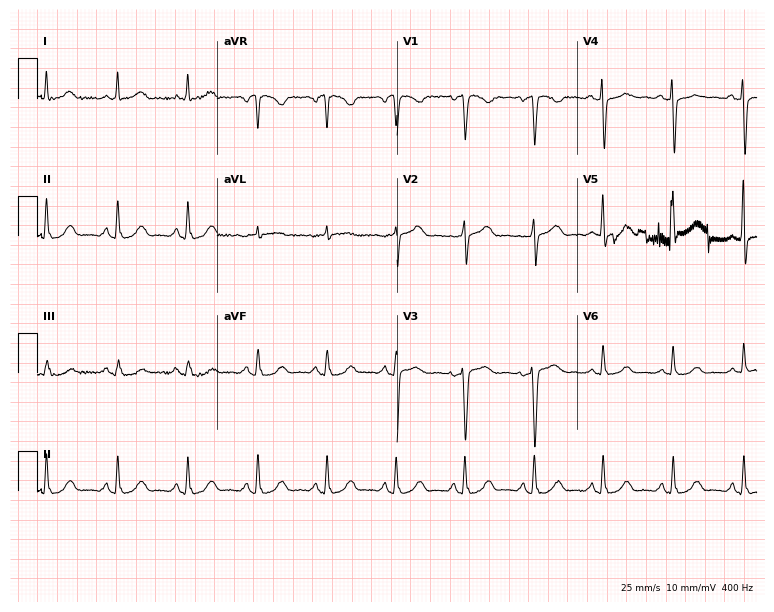
Electrocardiogram, a 54-year-old female patient. Overall reading on record: normal ECG.